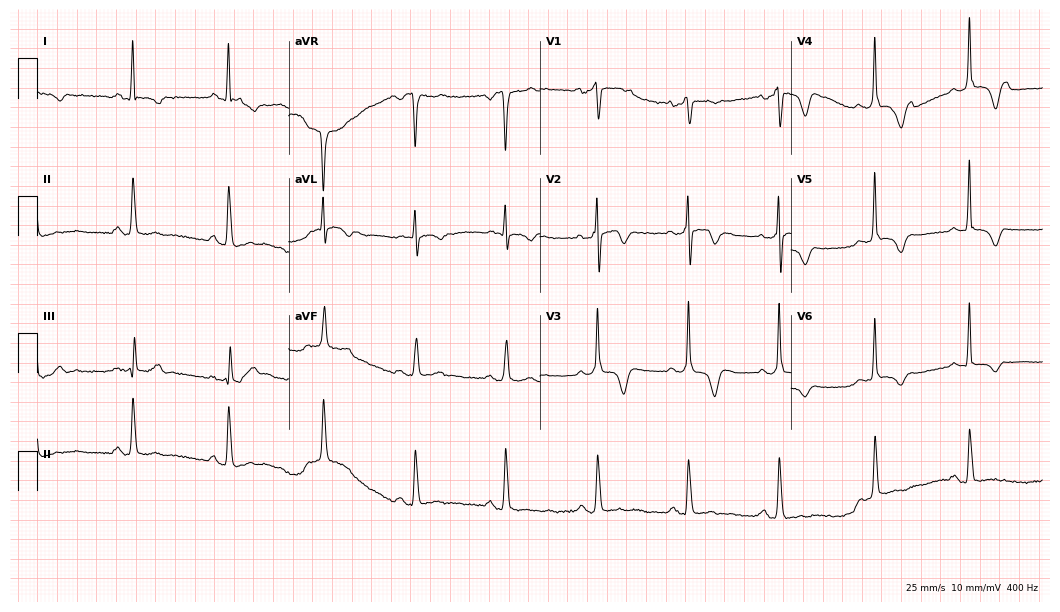
12-lead ECG from a man, 54 years old. No first-degree AV block, right bundle branch block (RBBB), left bundle branch block (LBBB), sinus bradycardia, atrial fibrillation (AF) or sinus tachycardia recorded for this tracing.